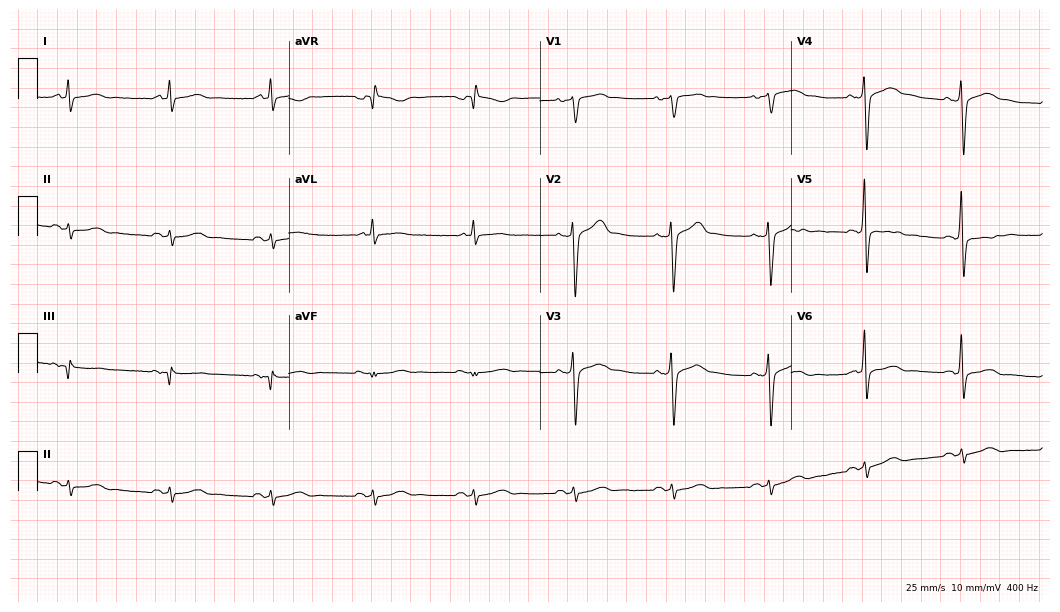
Standard 12-lead ECG recorded from a male patient, 55 years old. None of these six findings is recorded: first-degree AV block, right bundle branch block, left bundle branch block, sinus bradycardia, atrial fibrillation, sinus tachycardia. Other findings, if any, are not listed.